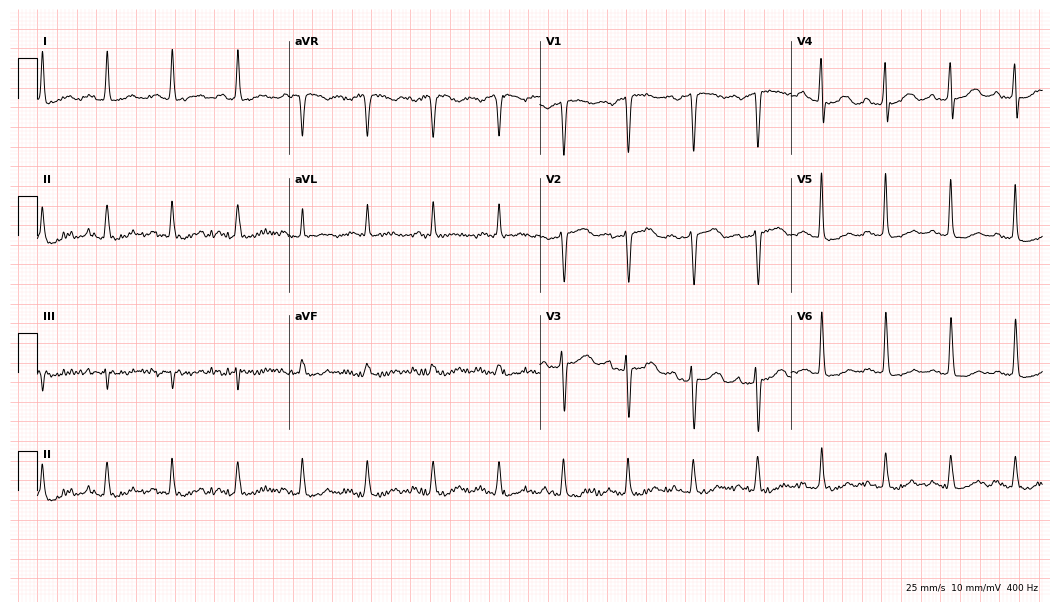
Electrocardiogram, a 65-year-old woman. Of the six screened findings (first-degree AV block, right bundle branch block (RBBB), left bundle branch block (LBBB), sinus bradycardia, atrial fibrillation (AF), sinus tachycardia), none is recorded.